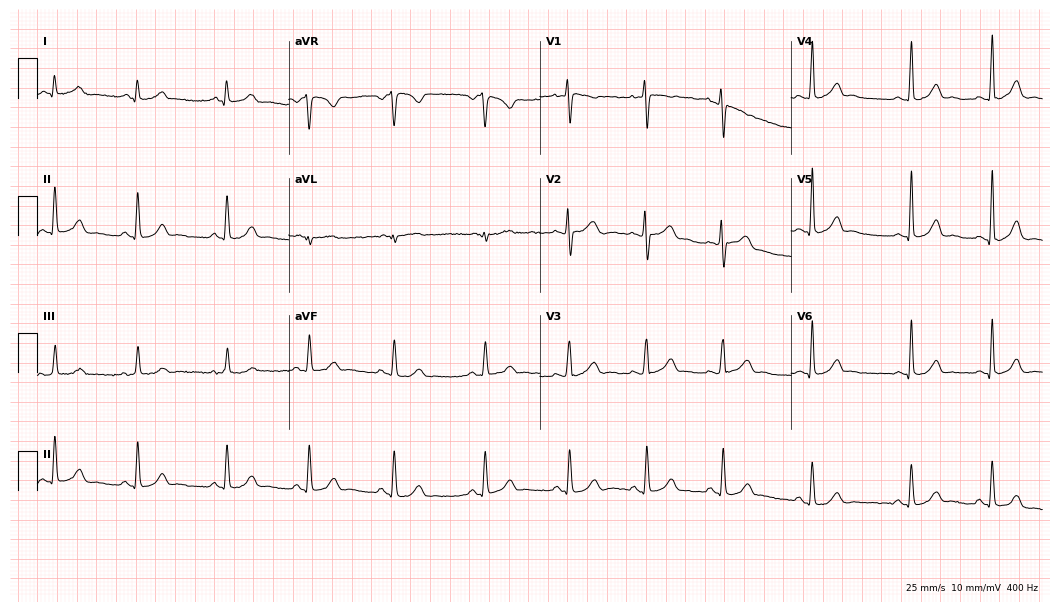
Electrocardiogram, a female patient, 23 years old. Overall reading on record: normal ECG.